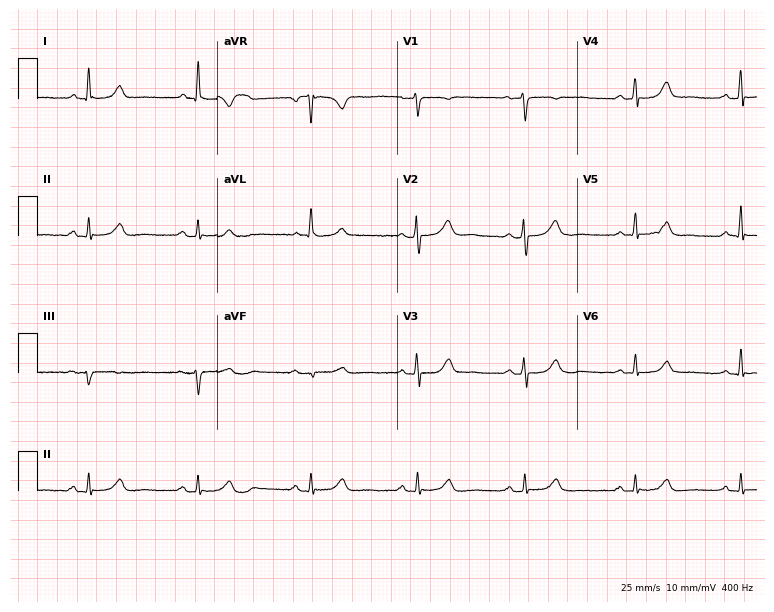
12-lead ECG (7.3-second recording at 400 Hz) from a 64-year-old female patient. Findings include sinus bradycardia (a sinus rate of 50 beats per minute or less).